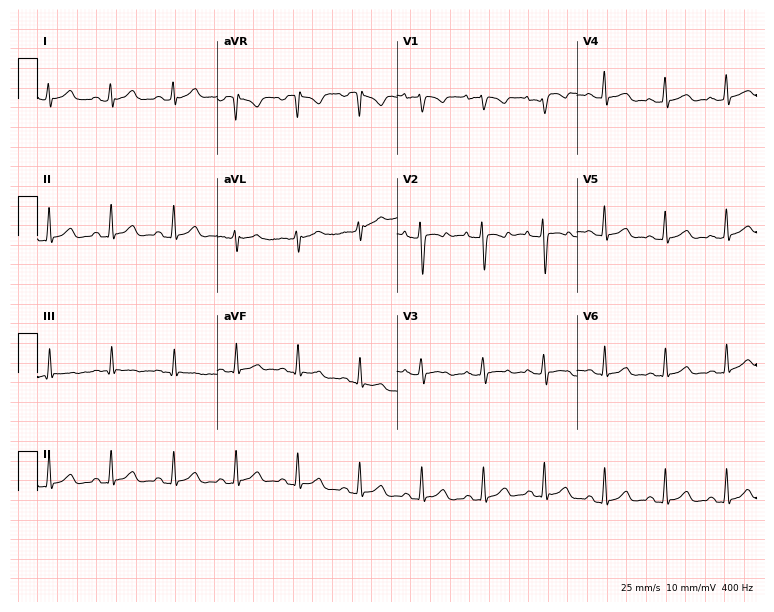
ECG — a 19-year-old woman. Screened for six findings — first-degree AV block, right bundle branch block, left bundle branch block, sinus bradycardia, atrial fibrillation, sinus tachycardia — none is recorded. Only these six findings were labelled.